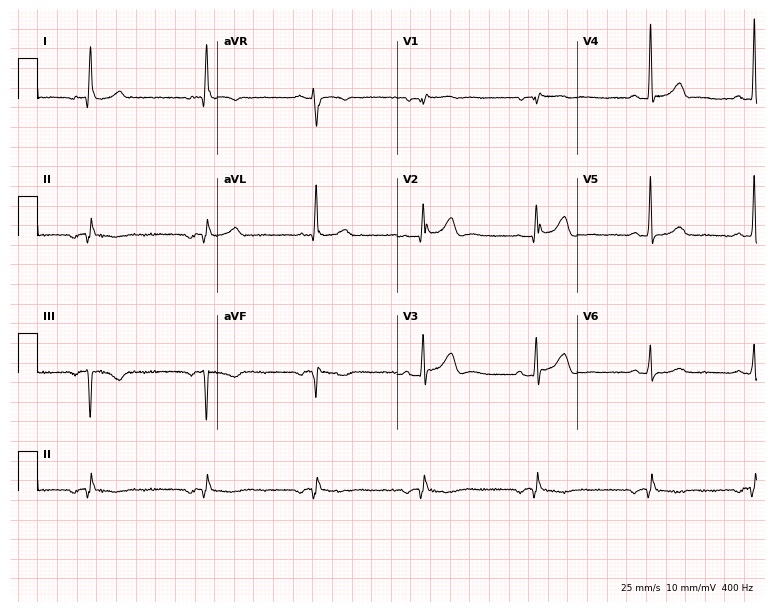
ECG — a male patient, 58 years old. Screened for six findings — first-degree AV block, right bundle branch block, left bundle branch block, sinus bradycardia, atrial fibrillation, sinus tachycardia — none is recorded.